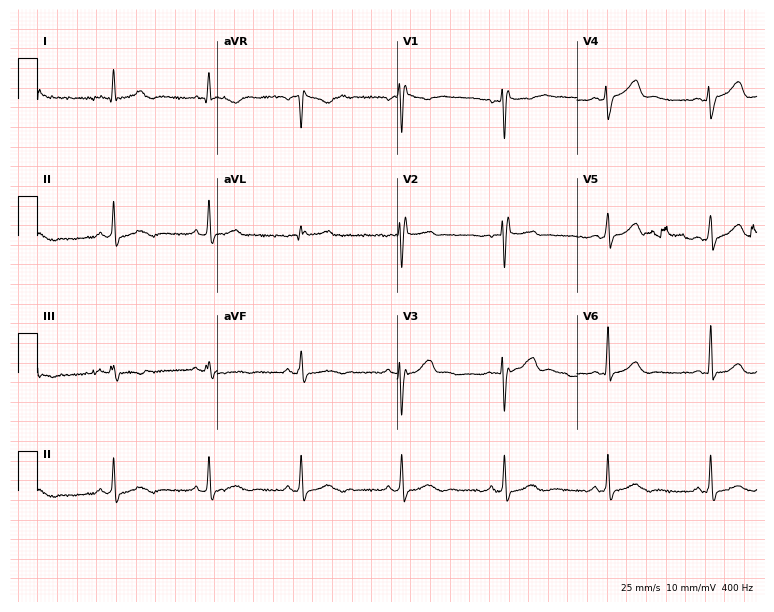
Electrocardiogram (7.3-second recording at 400 Hz), a female, 35 years old. Of the six screened findings (first-degree AV block, right bundle branch block (RBBB), left bundle branch block (LBBB), sinus bradycardia, atrial fibrillation (AF), sinus tachycardia), none is recorded. Findings outside these six are not listed.